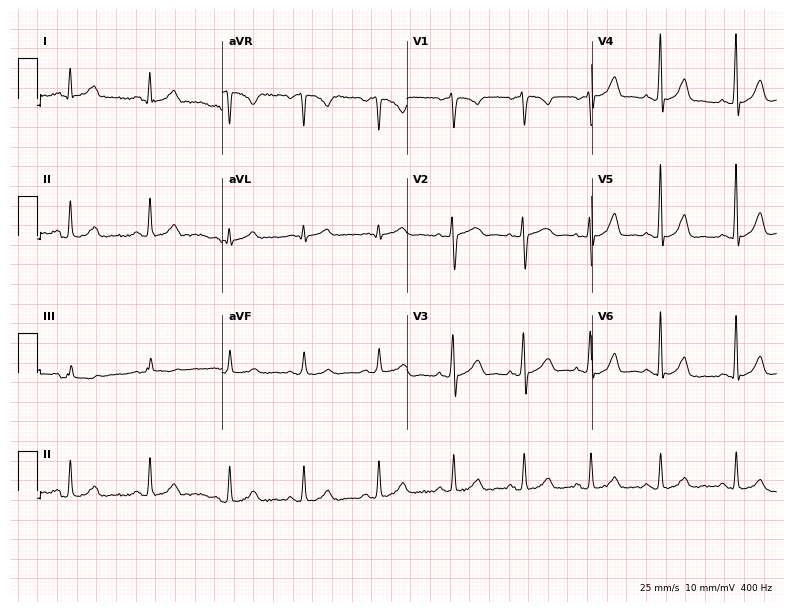
12-lead ECG from a 33-year-old female. Labelled as a normal ECG.